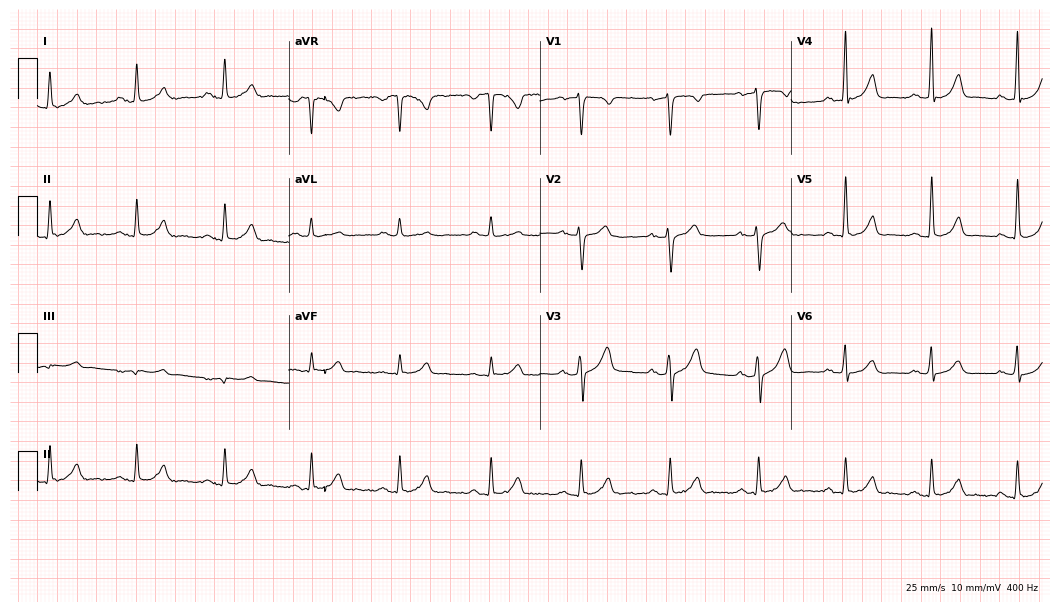
Electrocardiogram (10.2-second recording at 400 Hz), a male, 49 years old. Overall reading on record: normal ECG.